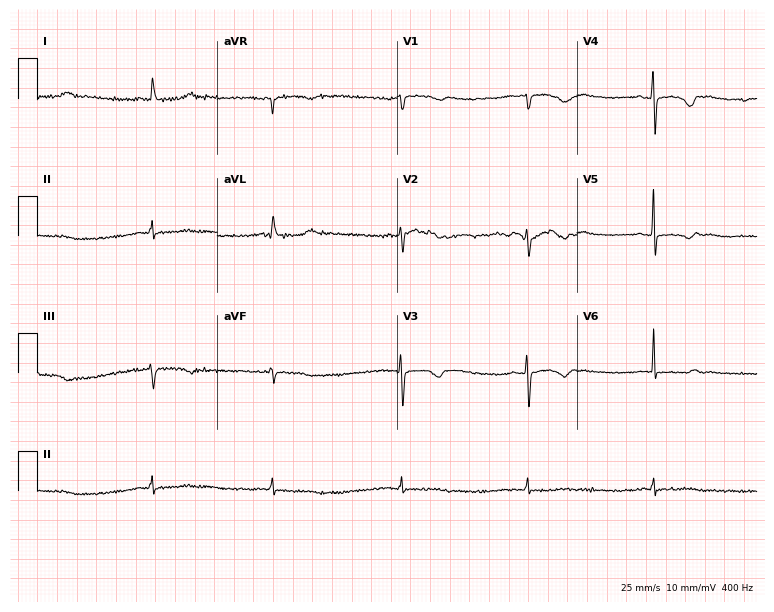
Standard 12-lead ECG recorded from a 70-year-old female. The tracing shows sinus bradycardia (a sinus rate of 50 beats per minute or less).